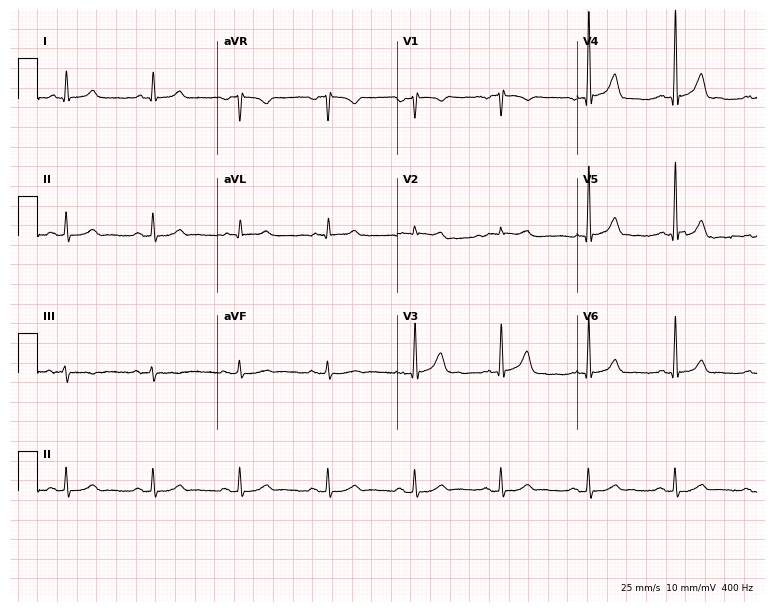
Electrocardiogram (7.3-second recording at 400 Hz), a 70-year-old male patient. Overall reading on record: normal ECG.